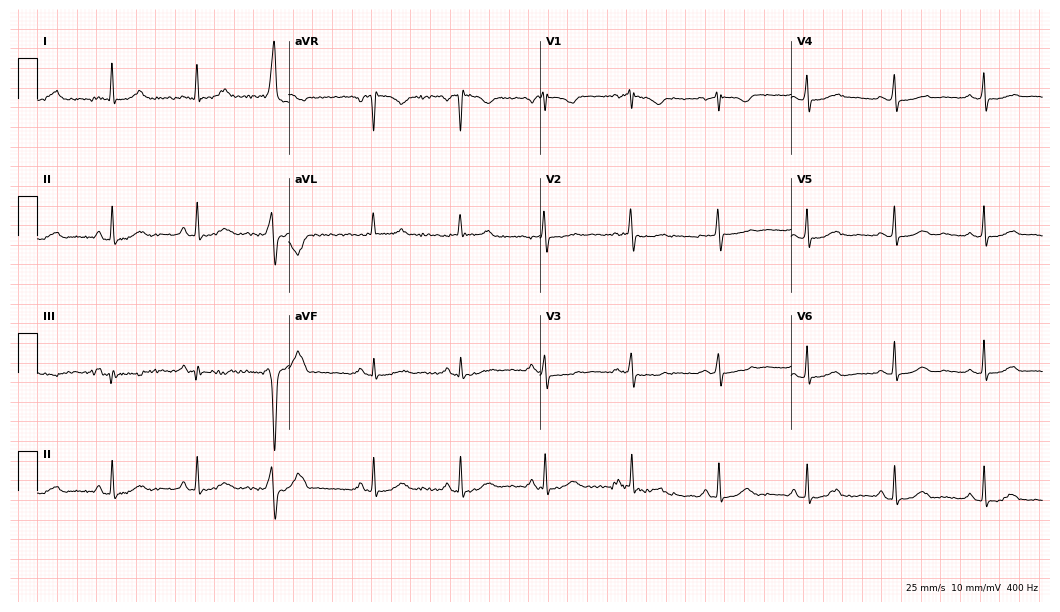
Electrocardiogram, a female patient, 76 years old. Of the six screened findings (first-degree AV block, right bundle branch block, left bundle branch block, sinus bradycardia, atrial fibrillation, sinus tachycardia), none is recorded. Only these six findings were labelled.